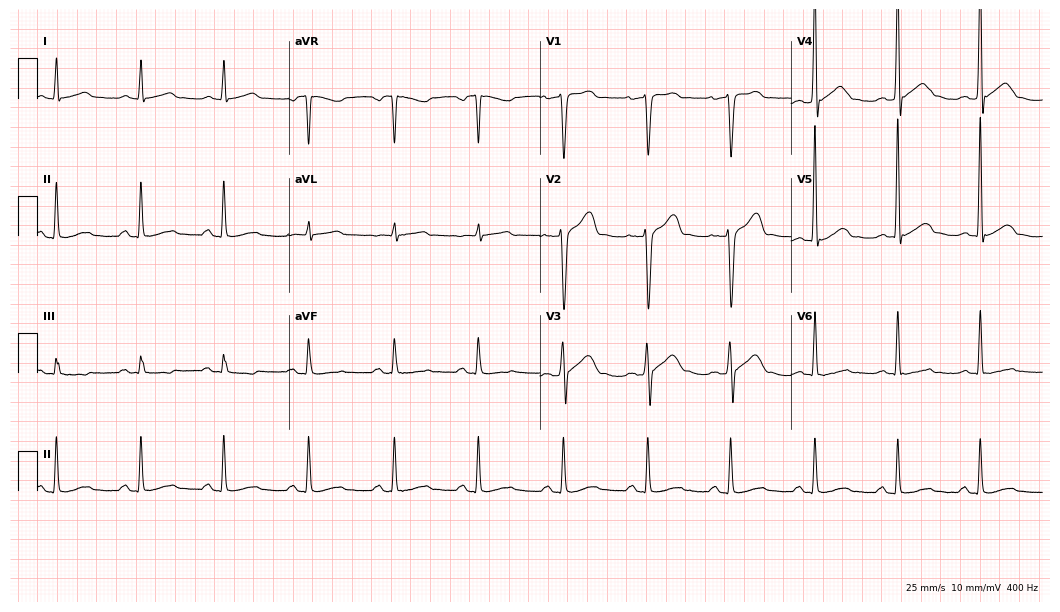
ECG (10.2-second recording at 400 Hz) — a man, 44 years old. Screened for six findings — first-degree AV block, right bundle branch block, left bundle branch block, sinus bradycardia, atrial fibrillation, sinus tachycardia — none is recorded. Only these six findings were labelled.